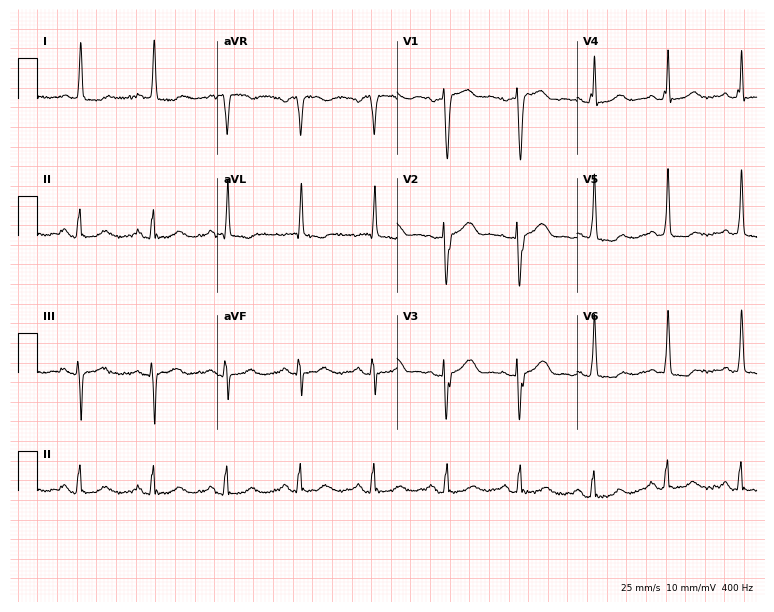
Resting 12-lead electrocardiogram (7.3-second recording at 400 Hz). Patient: a woman, 71 years old. None of these six findings is recorded: first-degree AV block, right bundle branch block (RBBB), left bundle branch block (LBBB), sinus bradycardia, atrial fibrillation (AF), sinus tachycardia. Findings outside these six are not listed.